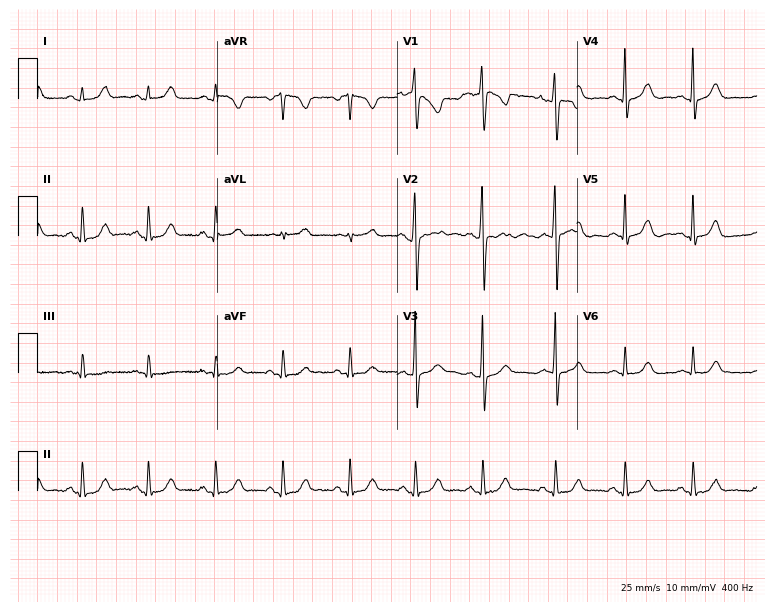
ECG — a 22-year-old woman. Labelled as a normal ECG.